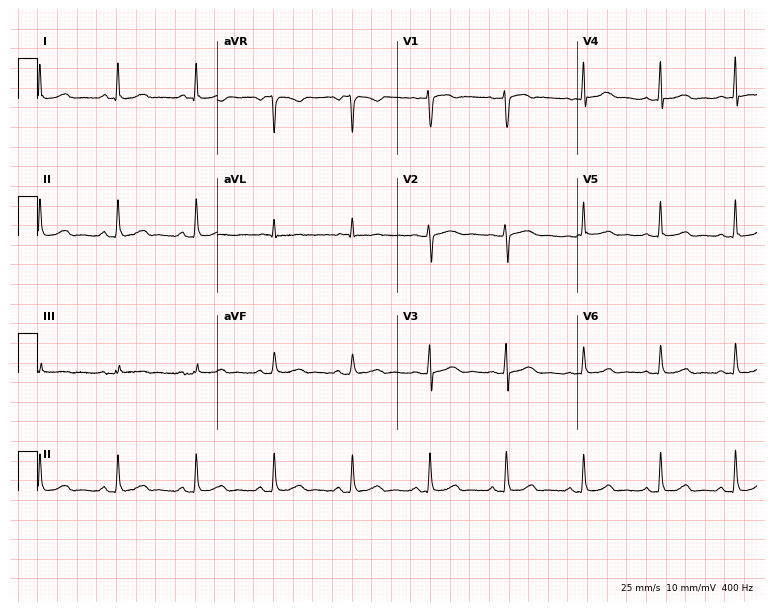
Resting 12-lead electrocardiogram (7.3-second recording at 400 Hz). Patient: a 46-year-old female. None of these six findings is recorded: first-degree AV block, right bundle branch block, left bundle branch block, sinus bradycardia, atrial fibrillation, sinus tachycardia.